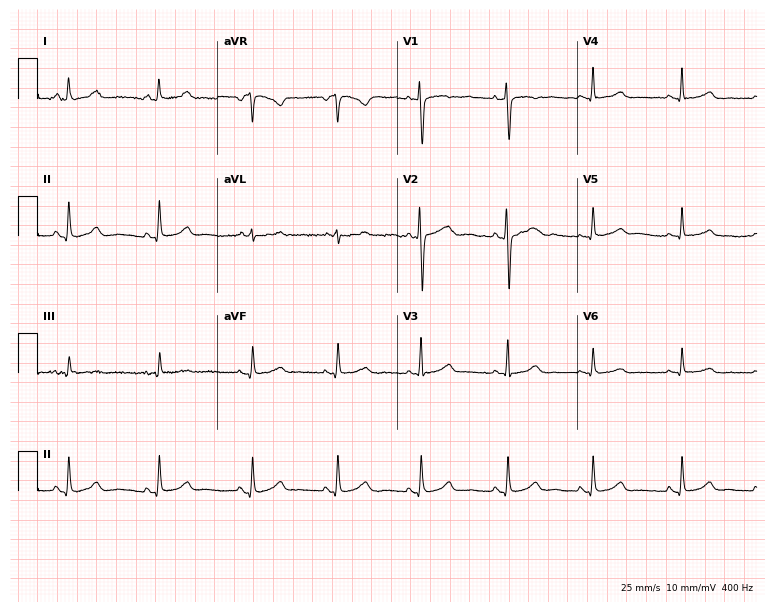
12-lead ECG (7.3-second recording at 400 Hz) from a female, 31 years old. Labelled as a normal ECG.